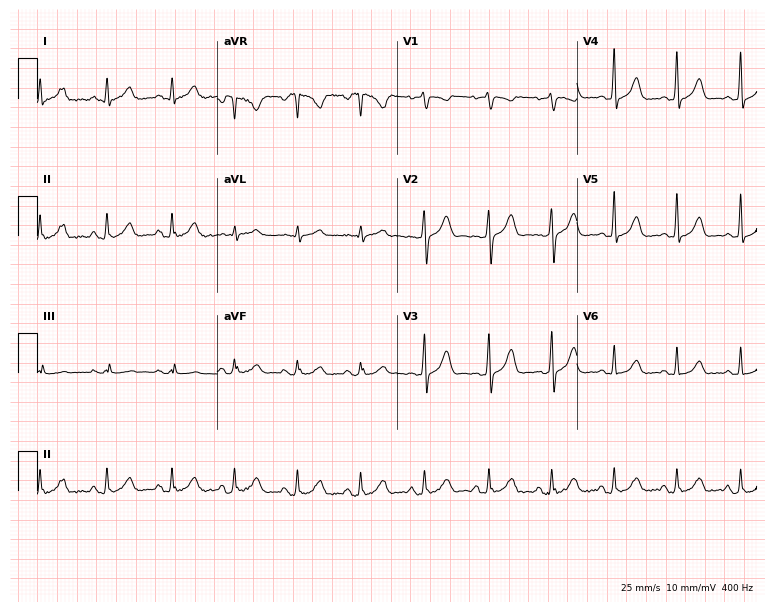
12-lead ECG (7.3-second recording at 400 Hz) from a female patient, 25 years old. Screened for six findings — first-degree AV block, right bundle branch block, left bundle branch block, sinus bradycardia, atrial fibrillation, sinus tachycardia — none is recorded.